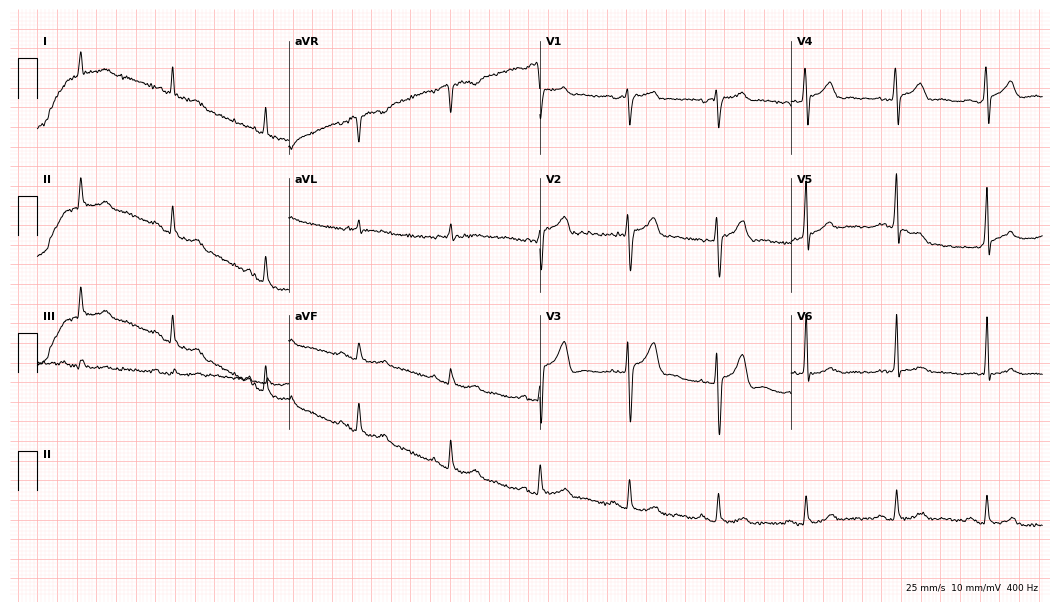
12-lead ECG from a man, 73 years old. Screened for six findings — first-degree AV block, right bundle branch block, left bundle branch block, sinus bradycardia, atrial fibrillation, sinus tachycardia — none is recorded. Findings outside these six are not listed.